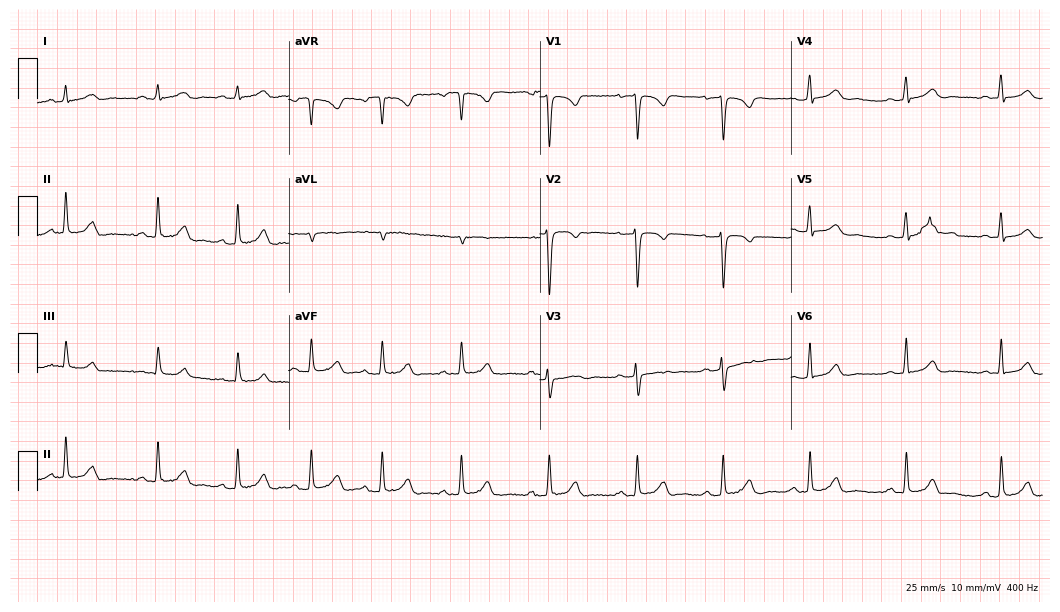
Electrocardiogram, a 21-year-old female patient. Overall reading on record: normal ECG.